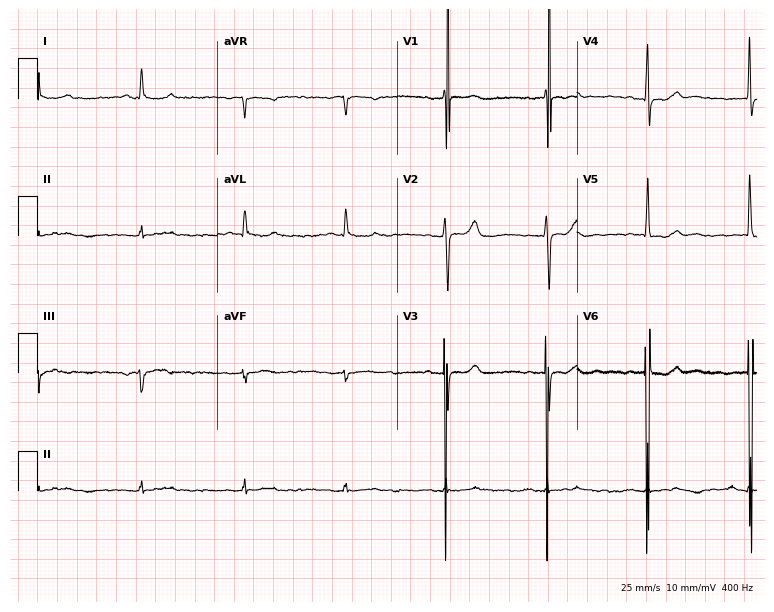
12-lead ECG from a female, 74 years old. Screened for six findings — first-degree AV block, right bundle branch block, left bundle branch block, sinus bradycardia, atrial fibrillation, sinus tachycardia — none is recorded. Findings outside these six are not listed.